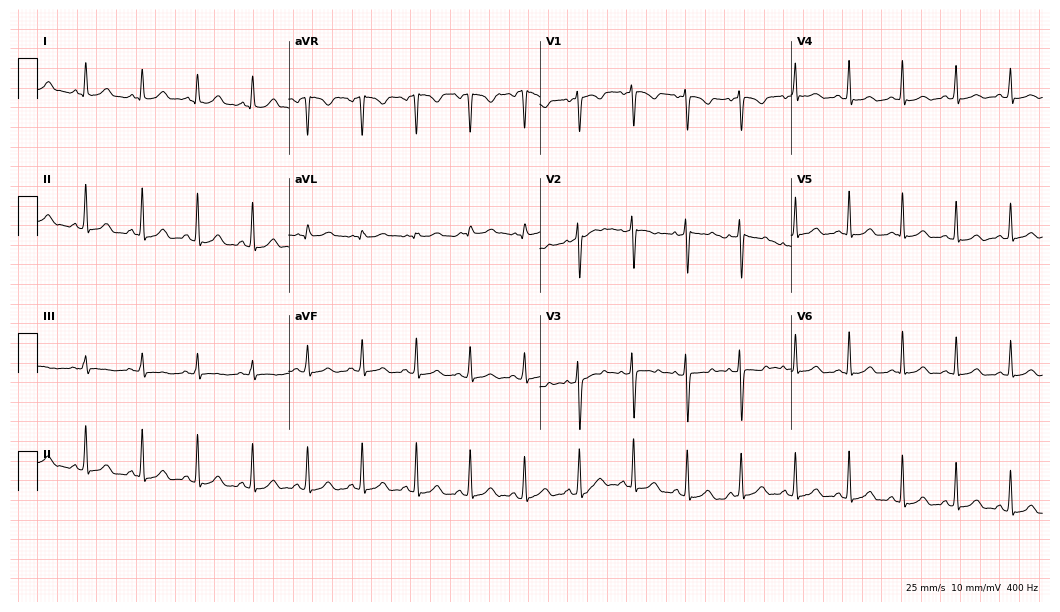
12-lead ECG (10.2-second recording at 400 Hz) from a female patient, 24 years old. Findings include sinus tachycardia (a sinus rate of 100 beats per minute or more).